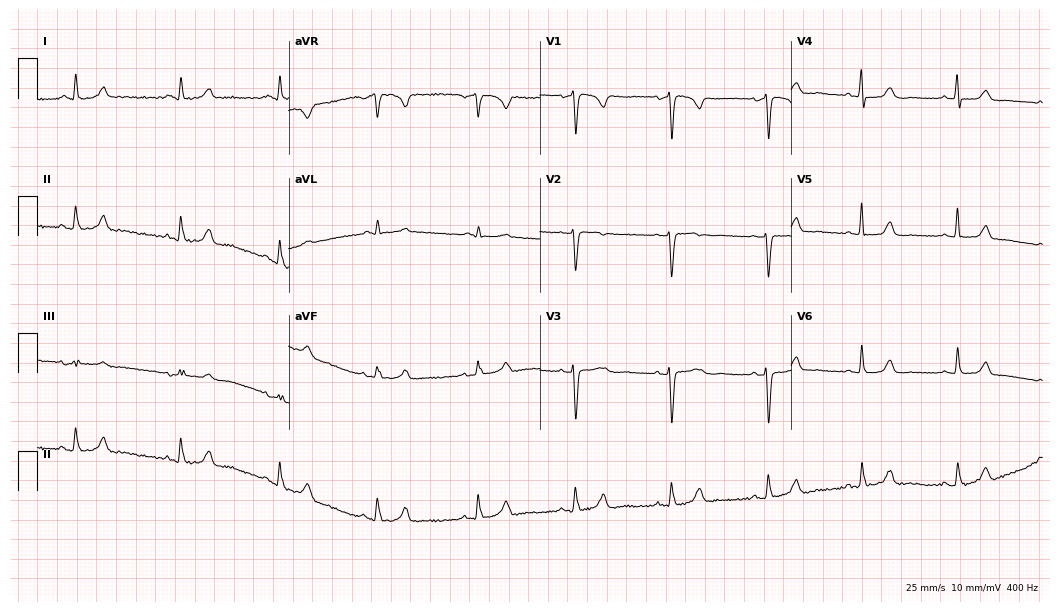
12-lead ECG from a woman, 68 years old. Recorded interpretation: within normal limits.